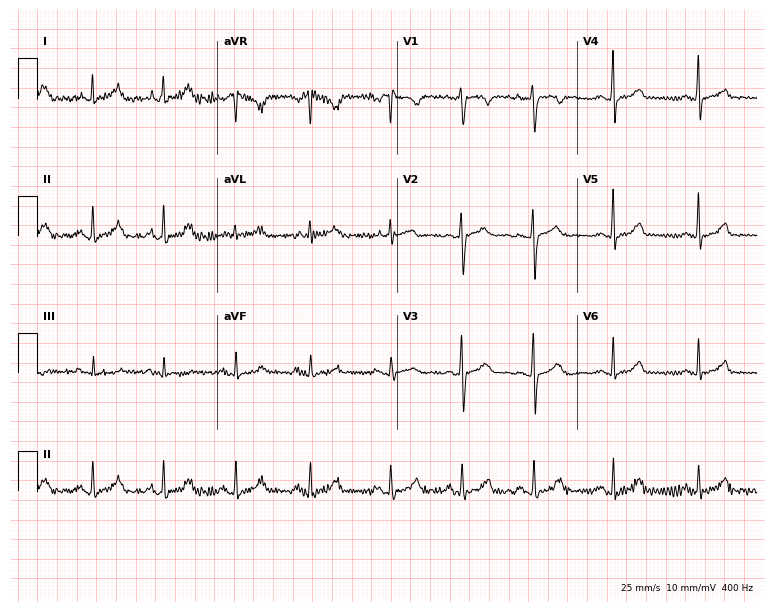
Standard 12-lead ECG recorded from a 33-year-old female patient (7.3-second recording at 400 Hz). Read as a normal ECG.